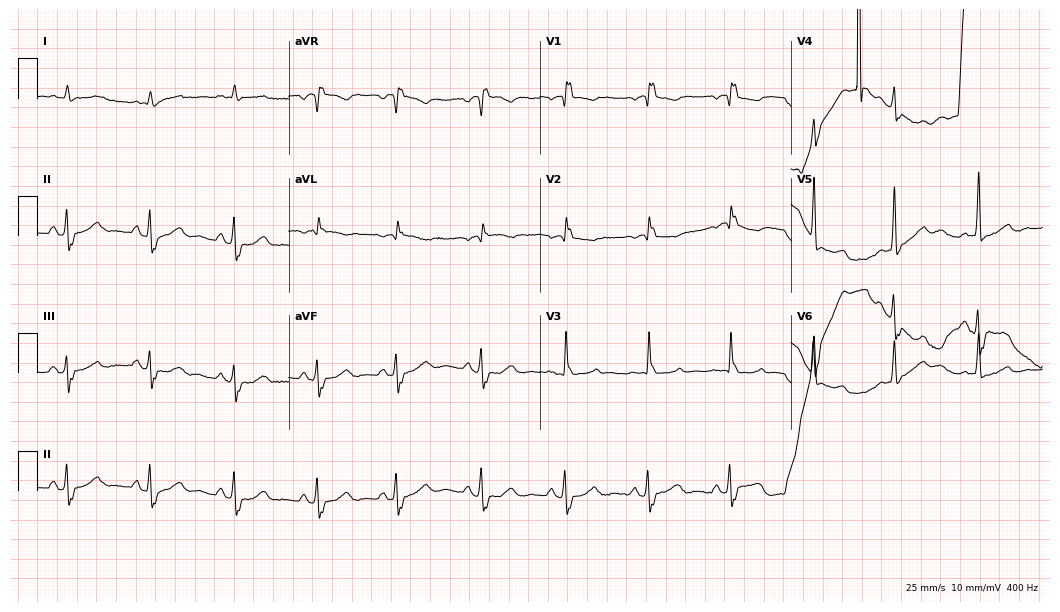
ECG (10.2-second recording at 400 Hz) — an 84-year-old man. Screened for six findings — first-degree AV block, right bundle branch block (RBBB), left bundle branch block (LBBB), sinus bradycardia, atrial fibrillation (AF), sinus tachycardia — none is recorded.